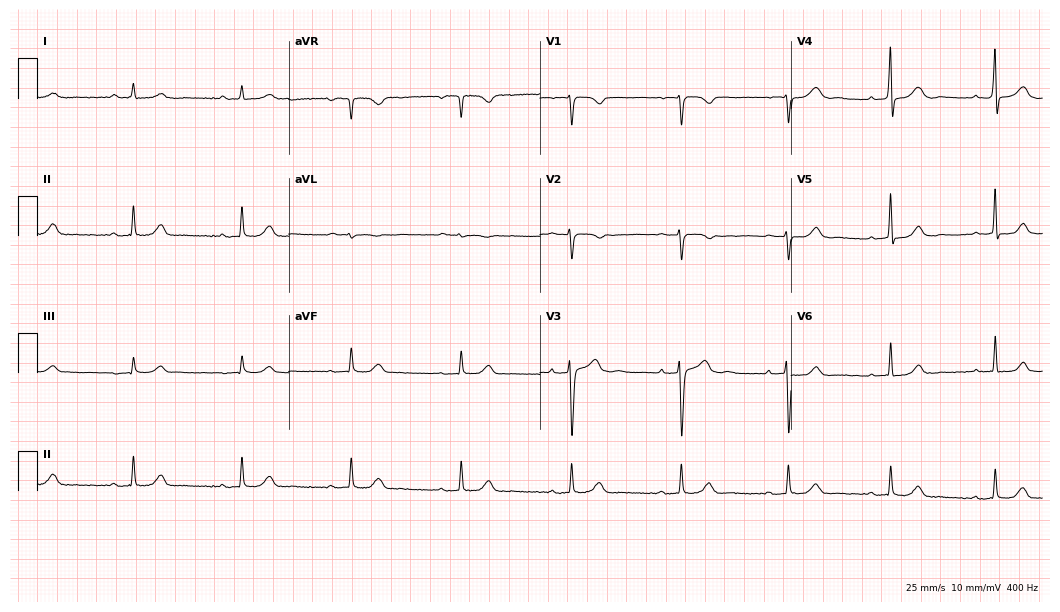
12-lead ECG (10.2-second recording at 400 Hz) from a 36-year-old female. Labelled as a normal ECG.